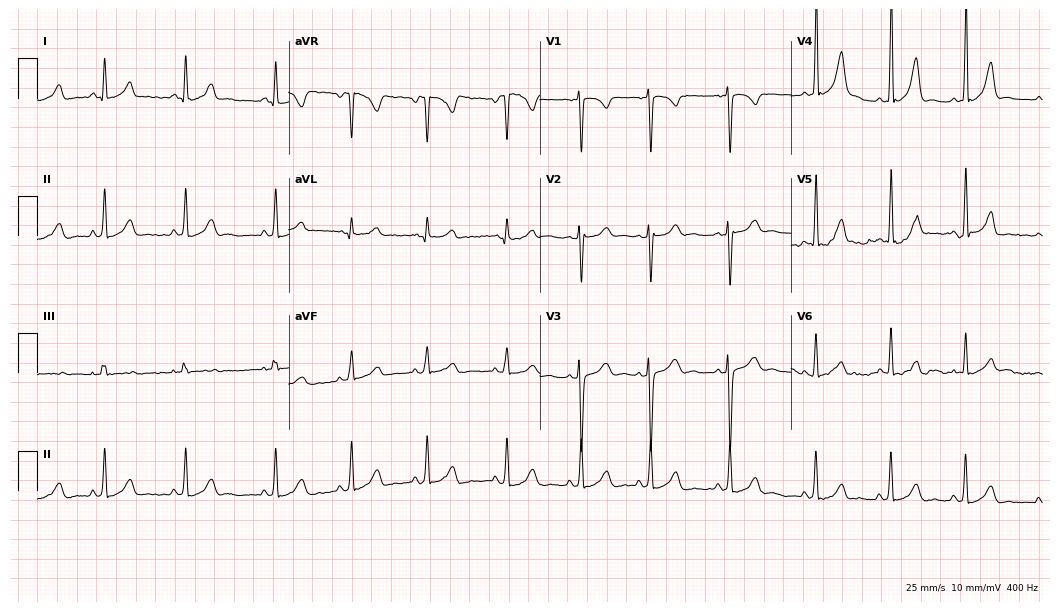
ECG (10.2-second recording at 400 Hz) — a female, 18 years old. Labelled as a normal ECG.